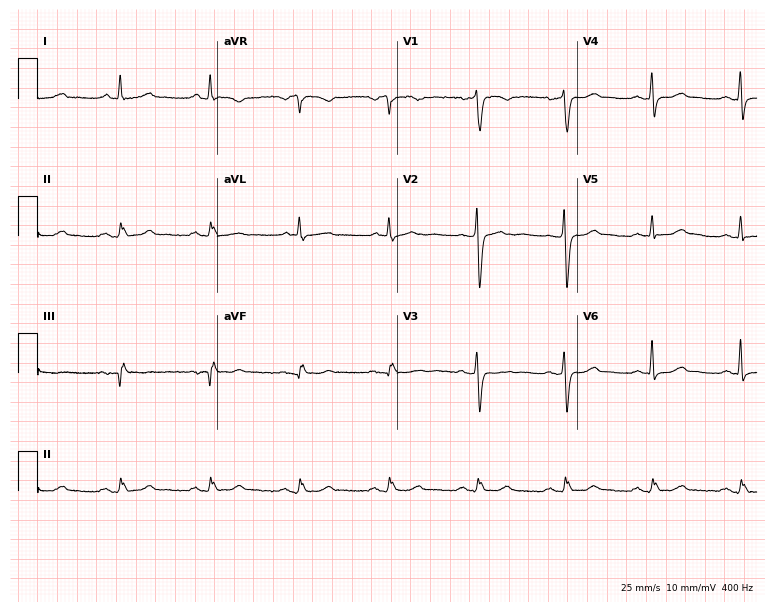
12-lead ECG from a 61-year-old female patient (7.3-second recording at 400 Hz). No first-degree AV block, right bundle branch block, left bundle branch block, sinus bradycardia, atrial fibrillation or sinus tachycardia recorded for this tracing.